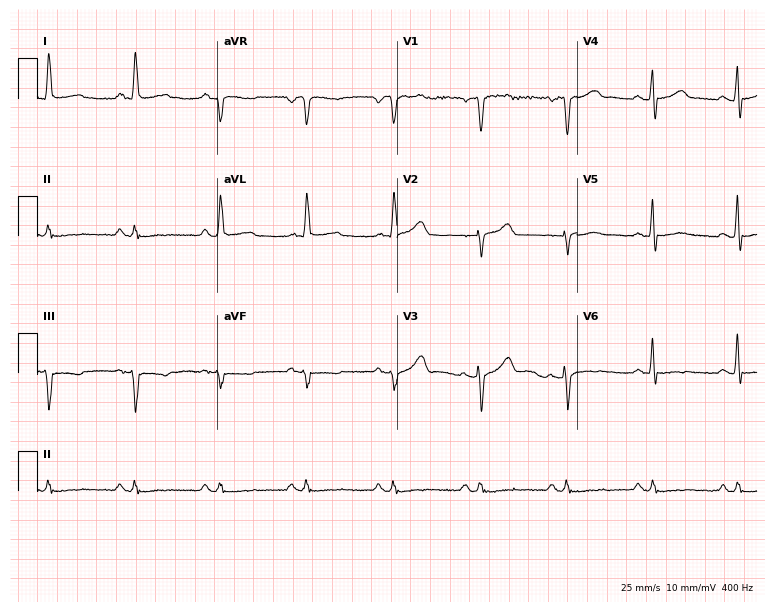
Resting 12-lead electrocardiogram (7.3-second recording at 400 Hz). Patient: a male, 52 years old. None of these six findings is recorded: first-degree AV block, right bundle branch block (RBBB), left bundle branch block (LBBB), sinus bradycardia, atrial fibrillation (AF), sinus tachycardia. Other findings, if any, are not listed.